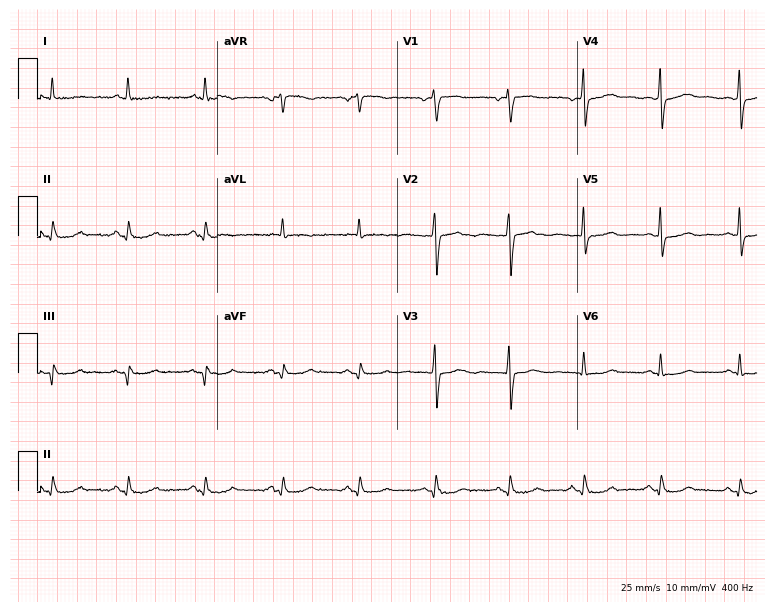
Standard 12-lead ECG recorded from a 68-year-old man. None of these six findings is recorded: first-degree AV block, right bundle branch block, left bundle branch block, sinus bradycardia, atrial fibrillation, sinus tachycardia.